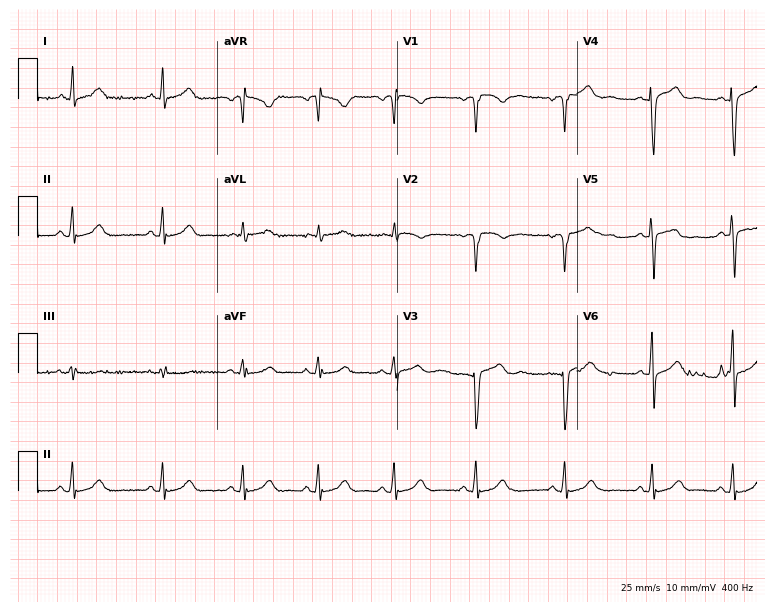
Electrocardiogram, a female, 31 years old. Of the six screened findings (first-degree AV block, right bundle branch block, left bundle branch block, sinus bradycardia, atrial fibrillation, sinus tachycardia), none is recorded.